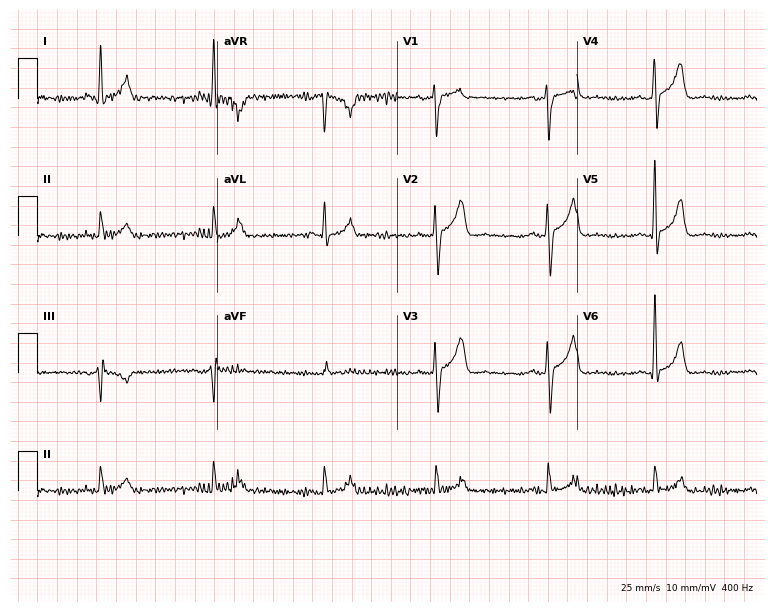
Resting 12-lead electrocardiogram (7.3-second recording at 400 Hz). Patient: a 49-year-old man. None of these six findings is recorded: first-degree AV block, right bundle branch block, left bundle branch block, sinus bradycardia, atrial fibrillation, sinus tachycardia. Other findings, if any, are not listed.